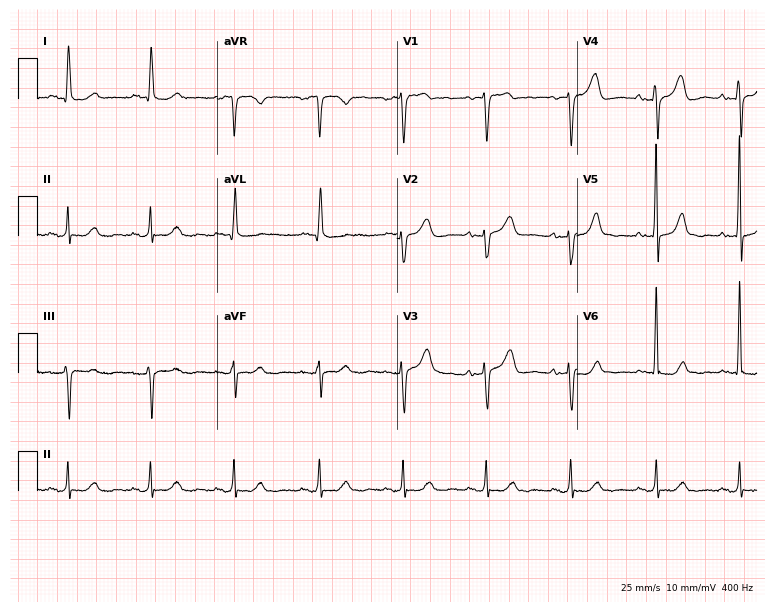
Electrocardiogram (7.3-second recording at 400 Hz), a 74-year-old female patient. Overall reading on record: normal ECG.